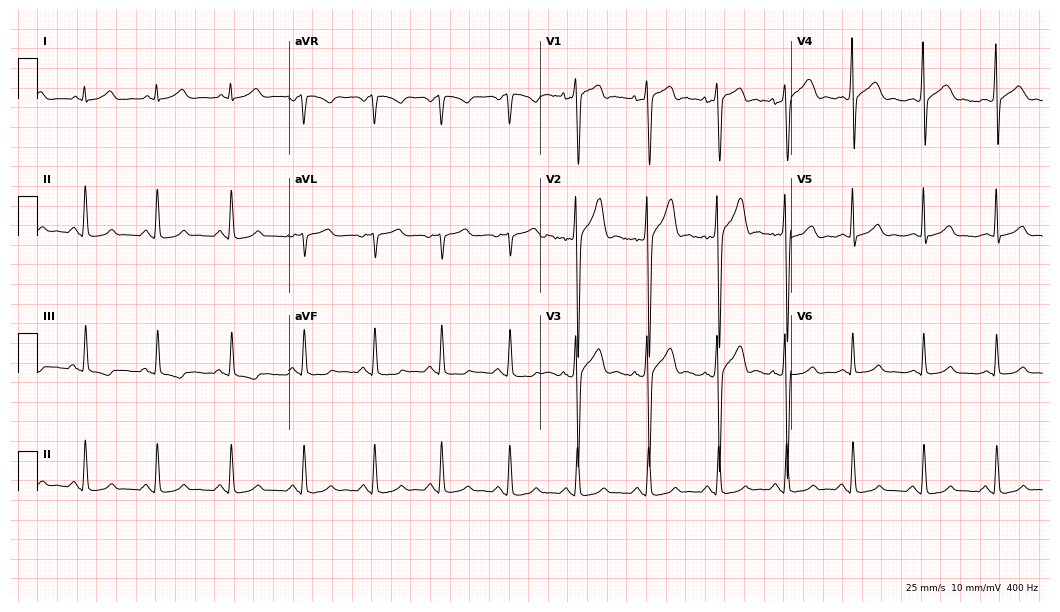
Resting 12-lead electrocardiogram (10.2-second recording at 400 Hz). Patient: a male, 34 years old. None of these six findings is recorded: first-degree AV block, right bundle branch block, left bundle branch block, sinus bradycardia, atrial fibrillation, sinus tachycardia. Other findings, if any, are not listed.